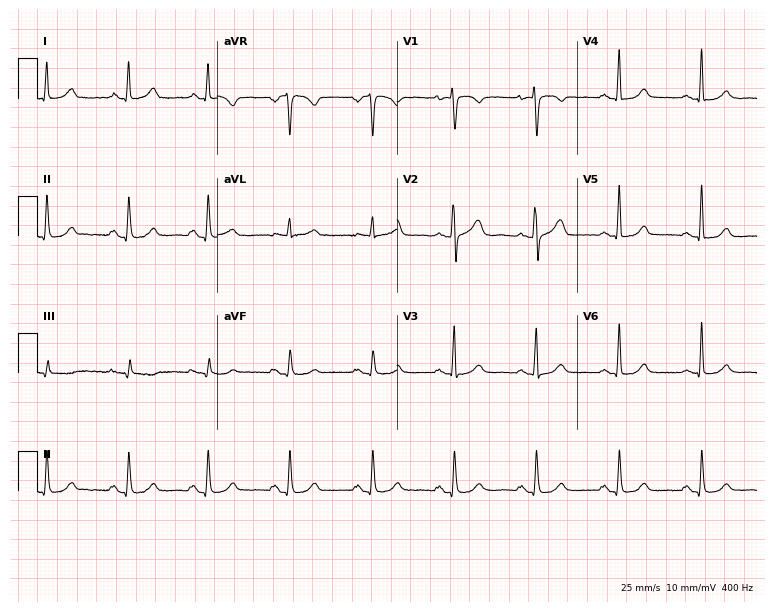
12-lead ECG from a woman, 45 years old. Recorded interpretation: within normal limits.